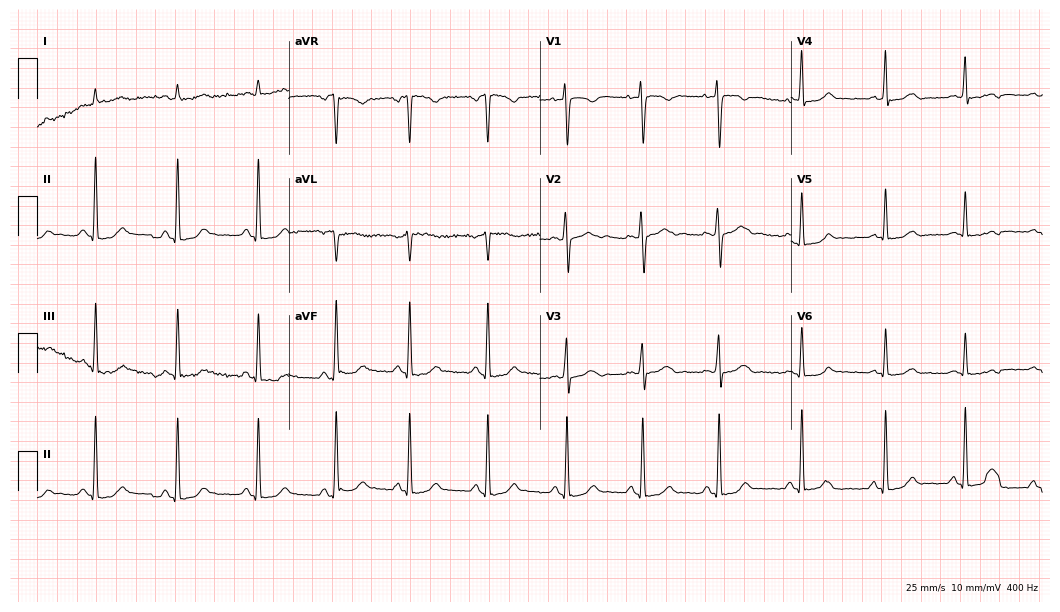
Standard 12-lead ECG recorded from a woman, 28 years old (10.2-second recording at 400 Hz). Read as a normal ECG.